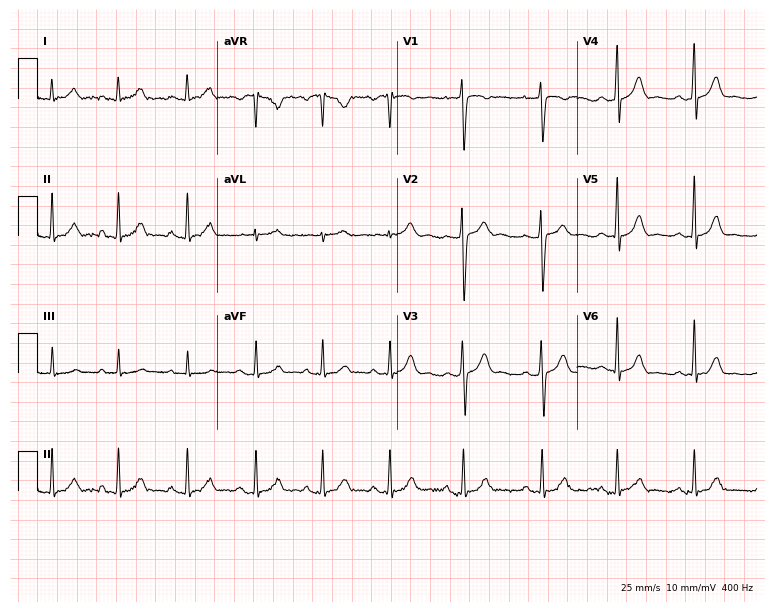
ECG (7.3-second recording at 400 Hz) — a 23-year-old man. Labelled as a normal ECG.